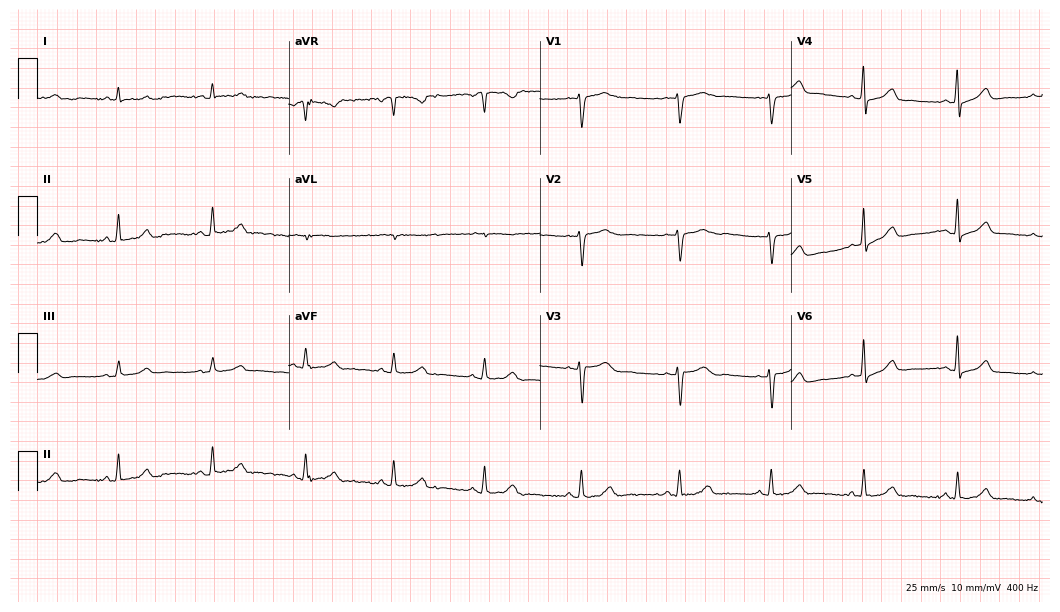
12-lead ECG from a 44-year-old female patient. Labelled as a normal ECG.